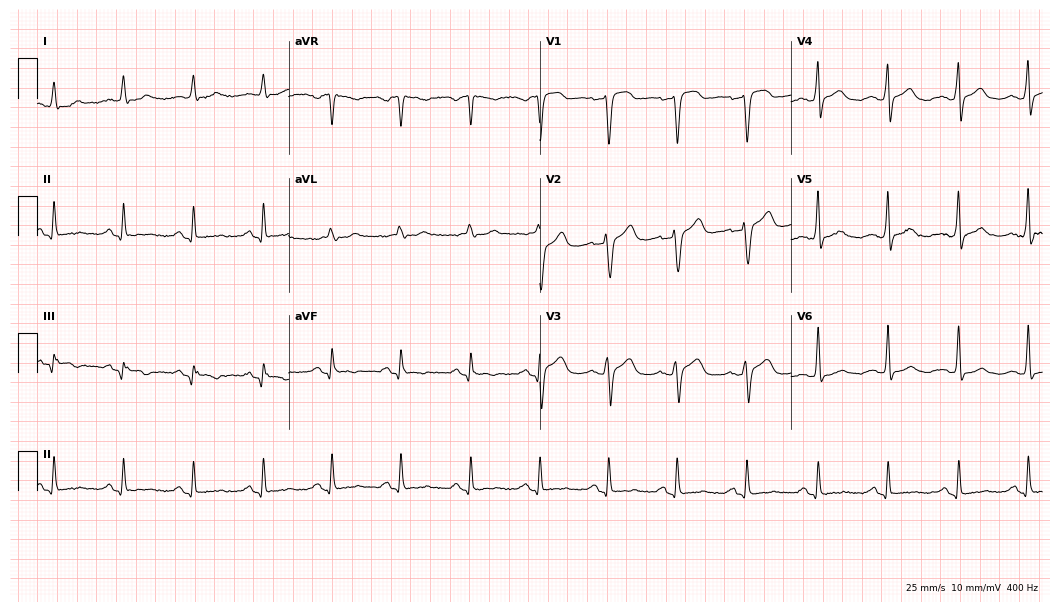
12-lead ECG from a man, 71 years old (10.2-second recording at 400 Hz). No first-degree AV block, right bundle branch block, left bundle branch block, sinus bradycardia, atrial fibrillation or sinus tachycardia recorded for this tracing.